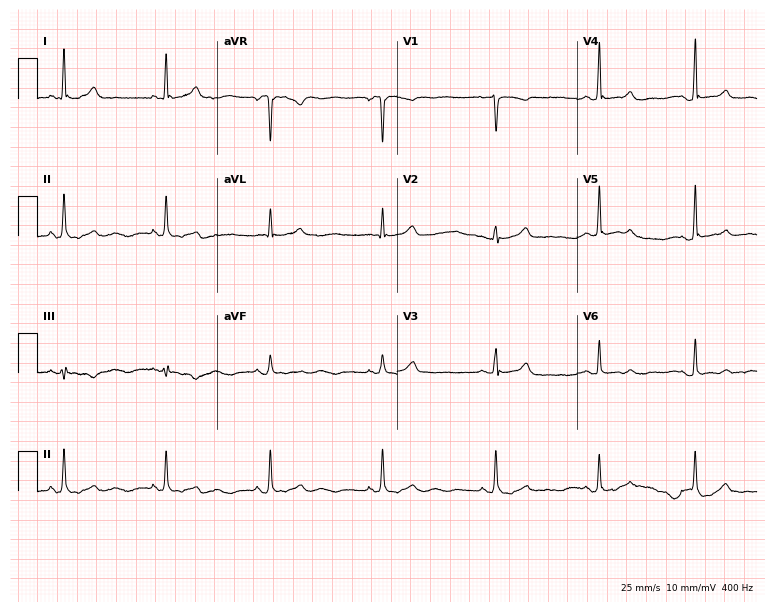
Standard 12-lead ECG recorded from a woman, 48 years old. Read as a normal ECG.